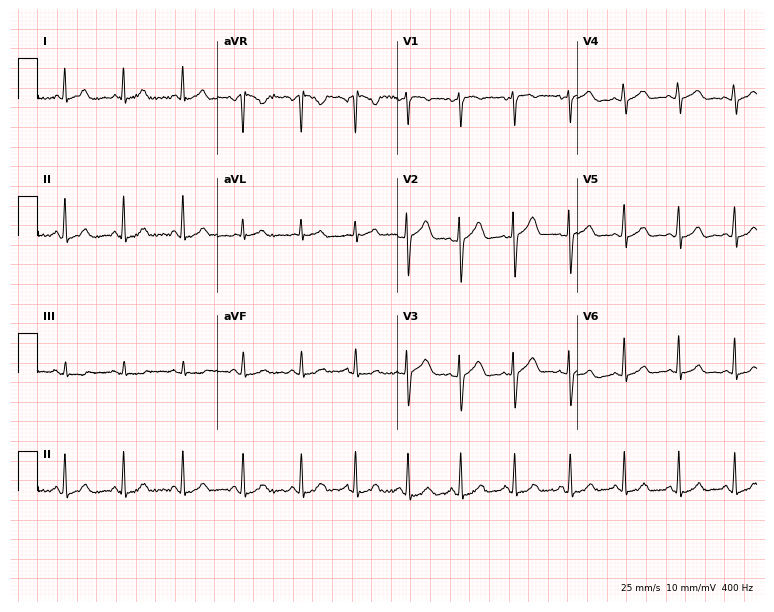
ECG — a 43-year-old female patient. Labelled as a normal ECG.